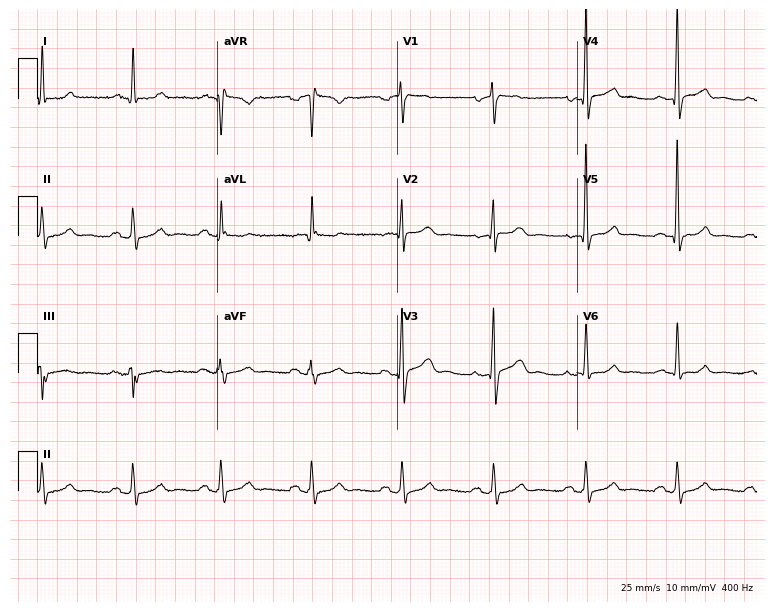
12-lead ECG from a 66-year-old male (7.3-second recording at 400 Hz). Recorded interpretation: within normal limits.